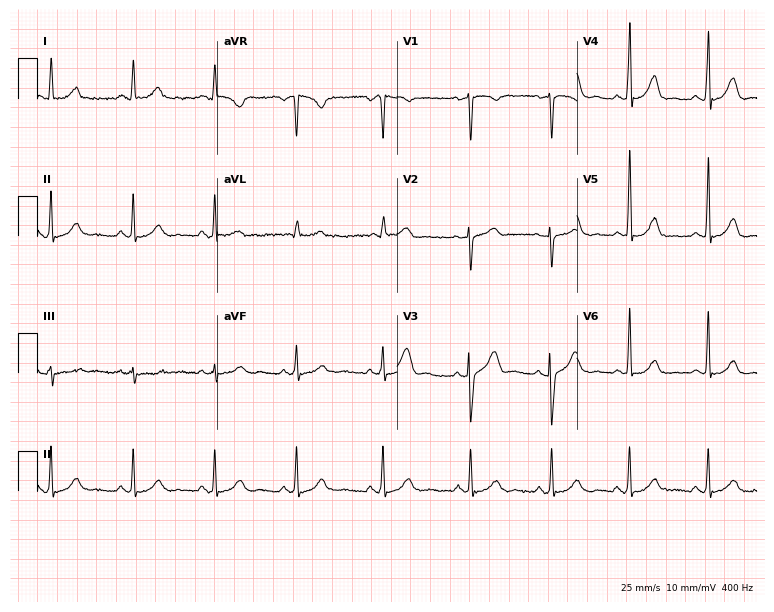
ECG (7.3-second recording at 400 Hz) — a 43-year-old female patient. Labelled as a normal ECG.